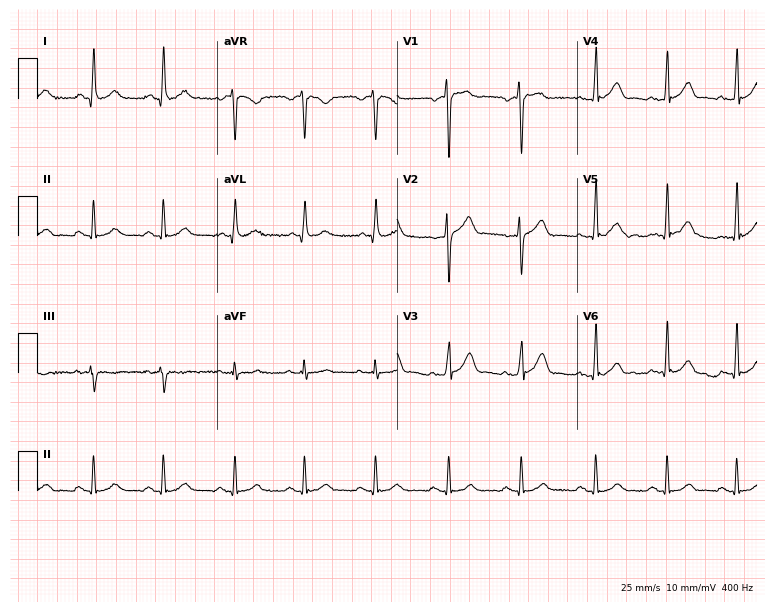
Resting 12-lead electrocardiogram (7.3-second recording at 400 Hz). Patient: a 51-year-old man. Read as a normal ECG.